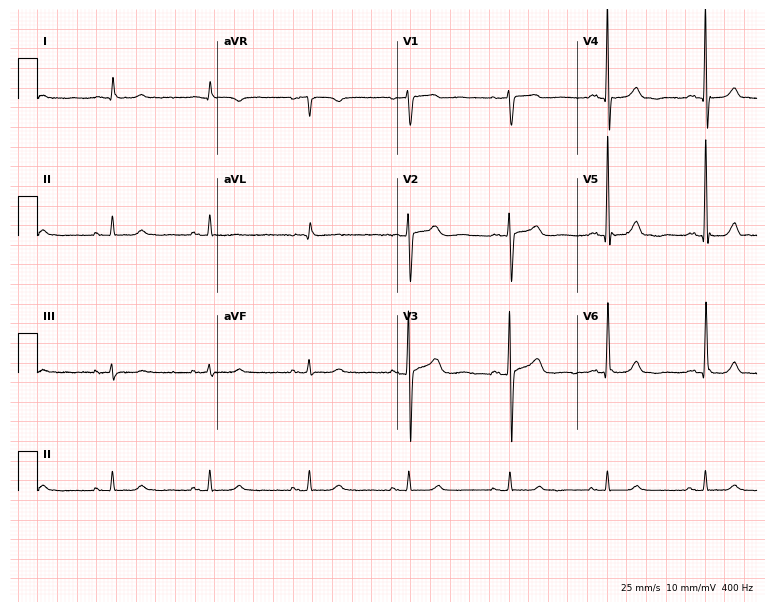
Resting 12-lead electrocardiogram (7.3-second recording at 400 Hz). Patient: a 74-year-old man. Read as a normal ECG.